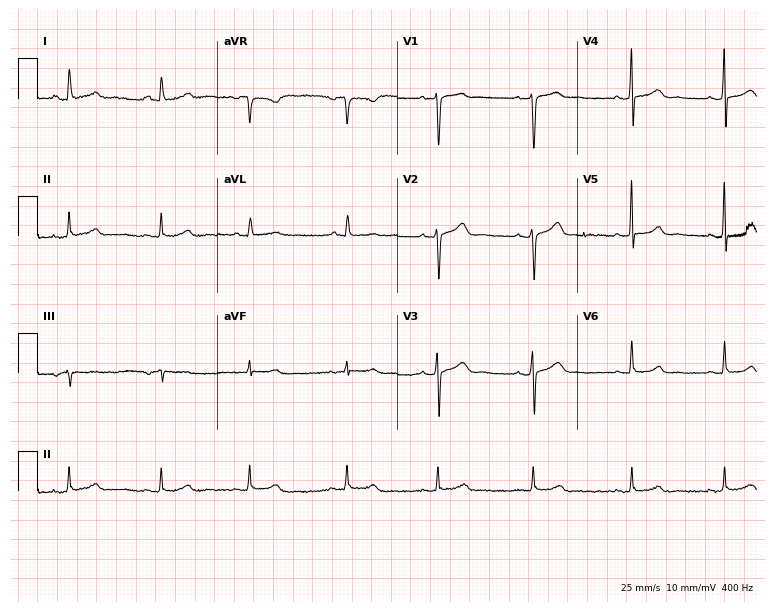
Standard 12-lead ECG recorded from a 32-year-old female patient. Read as a normal ECG.